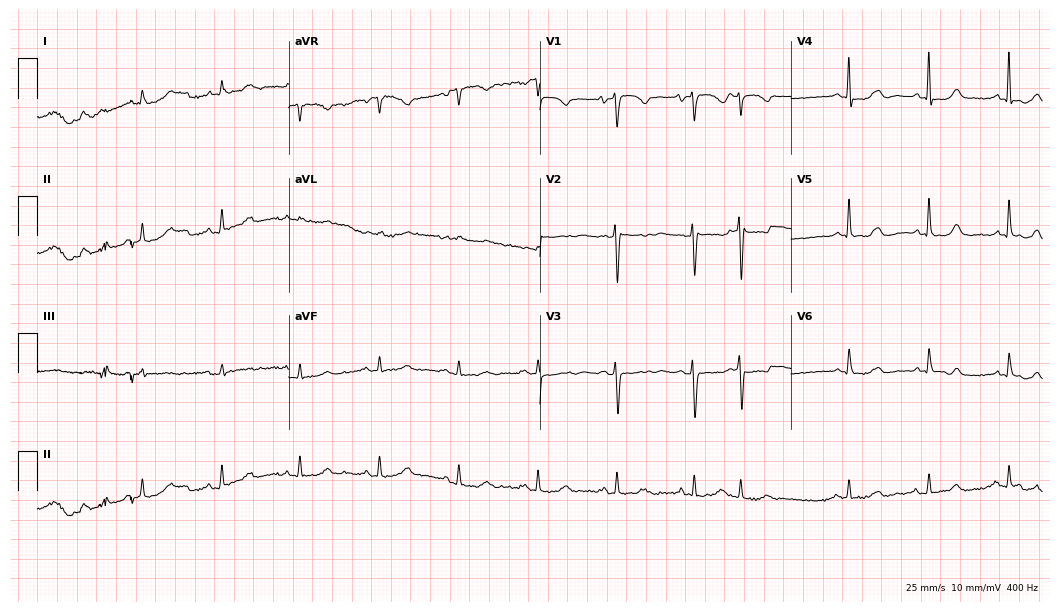
Electrocardiogram, a female, 73 years old. Of the six screened findings (first-degree AV block, right bundle branch block, left bundle branch block, sinus bradycardia, atrial fibrillation, sinus tachycardia), none is recorded.